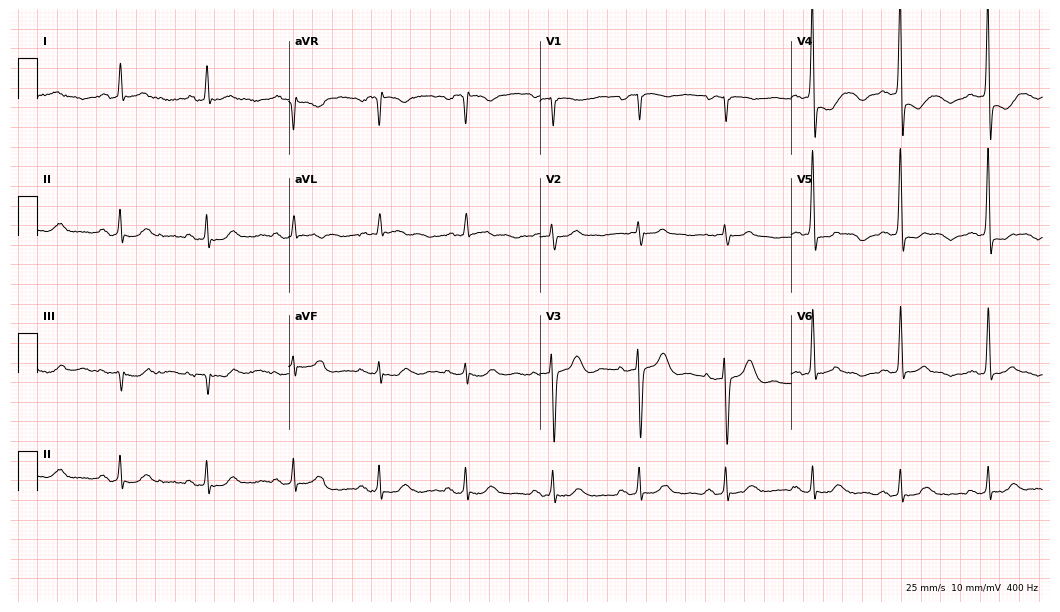
12-lead ECG from a 67-year-old male. No first-degree AV block, right bundle branch block, left bundle branch block, sinus bradycardia, atrial fibrillation or sinus tachycardia recorded for this tracing.